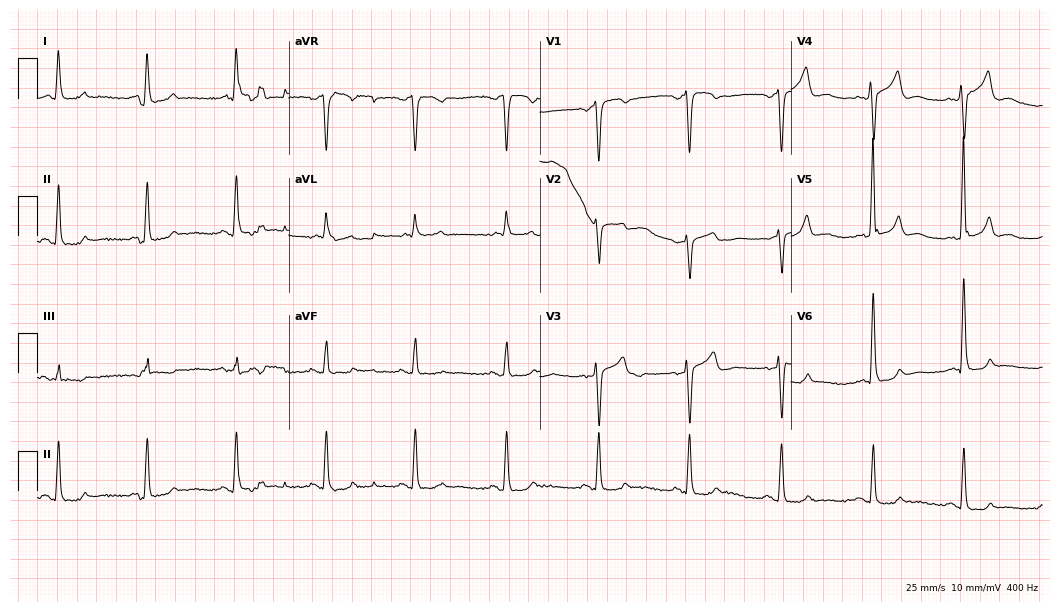
12-lead ECG from a 52-year-old man. No first-degree AV block, right bundle branch block, left bundle branch block, sinus bradycardia, atrial fibrillation or sinus tachycardia recorded for this tracing.